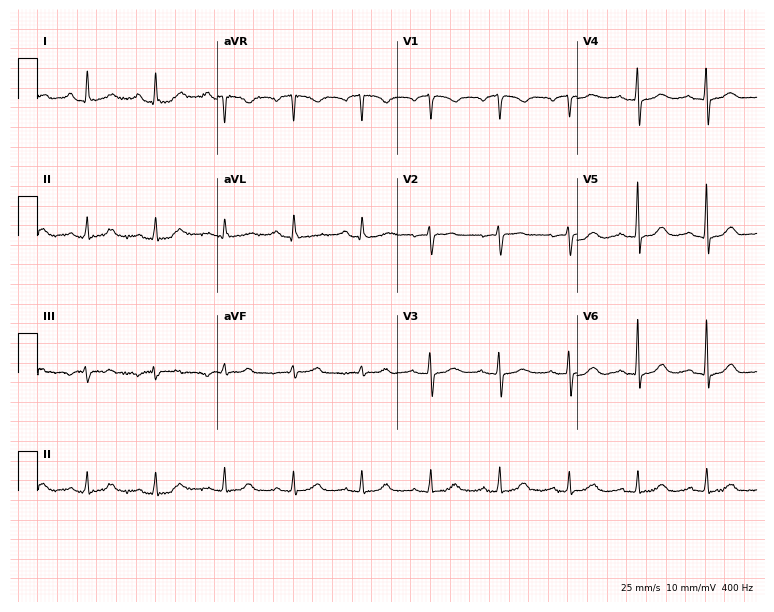
12-lead ECG from a 48-year-old woman (7.3-second recording at 400 Hz). Shows first-degree AV block.